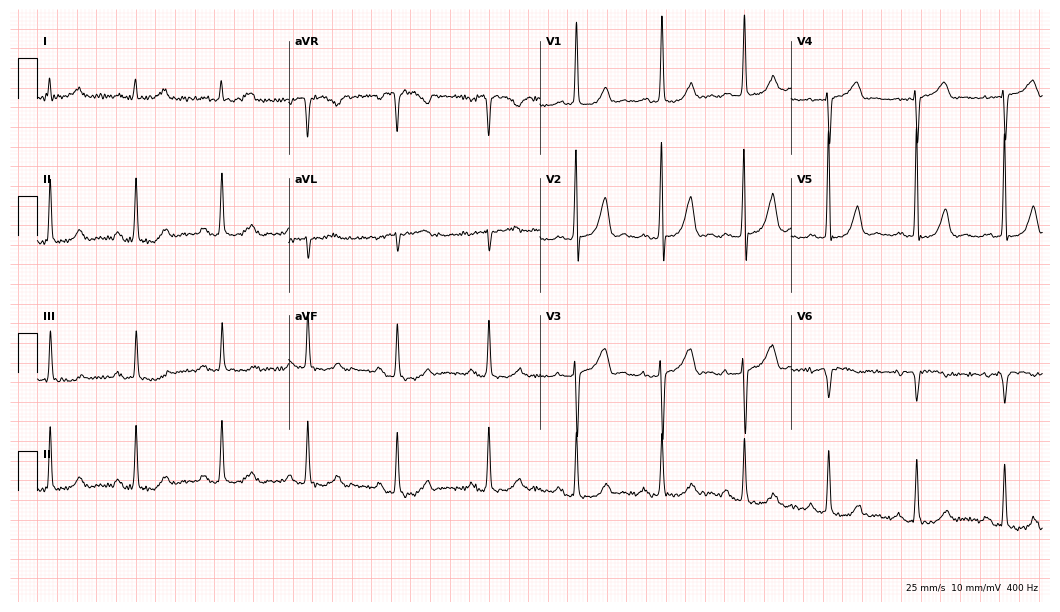
Electrocardiogram (10.2-second recording at 400 Hz), a female patient, 81 years old. Of the six screened findings (first-degree AV block, right bundle branch block (RBBB), left bundle branch block (LBBB), sinus bradycardia, atrial fibrillation (AF), sinus tachycardia), none is recorded.